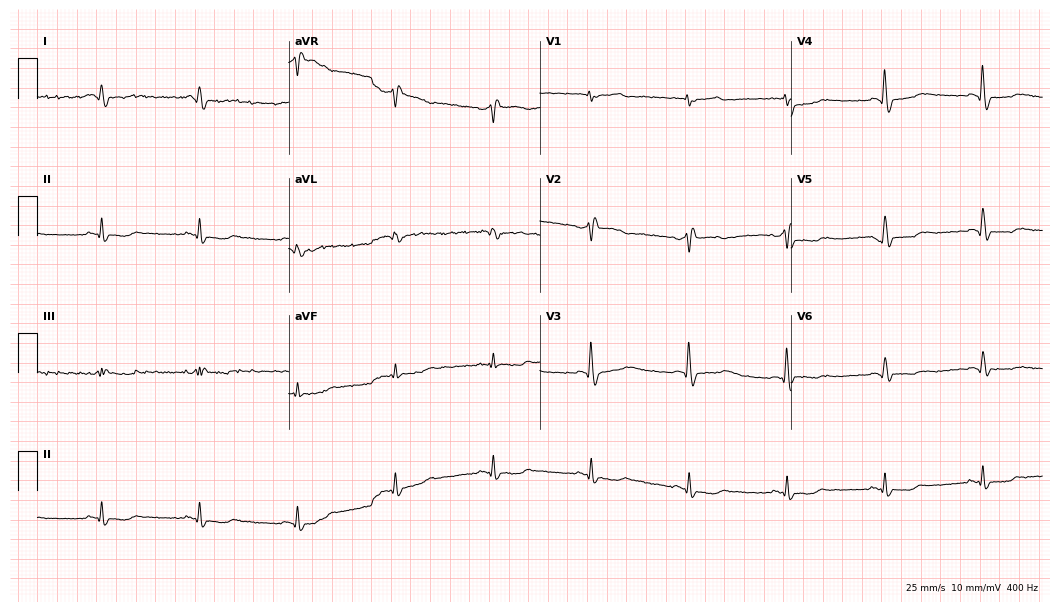
Standard 12-lead ECG recorded from a male, 62 years old. None of these six findings is recorded: first-degree AV block, right bundle branch block, left bundle branch block, sinus bradycardia, atrial fibrillation, sinus tachycardia.